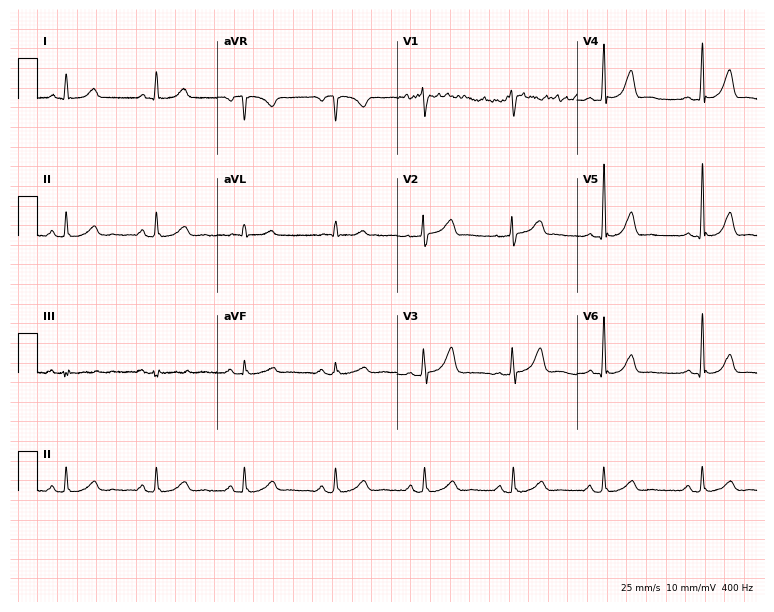
Resting 12-lead electrocardiogram (7.3-second recording at 400 Hz). Patient: a male, 50 years old. Read as a normal ECG.